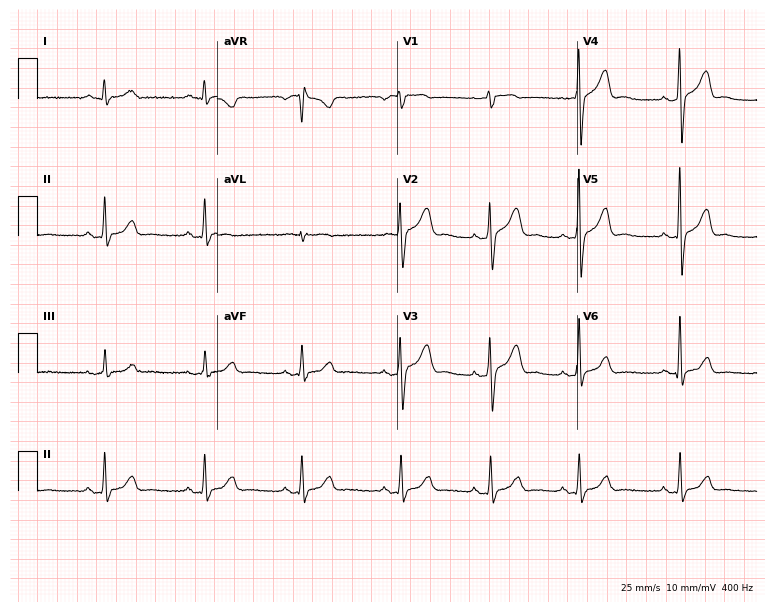
Electrocardiogram (7.3-second recording at 400 Hz), a male, 58 years old. Overall reading on record: normal ECG.